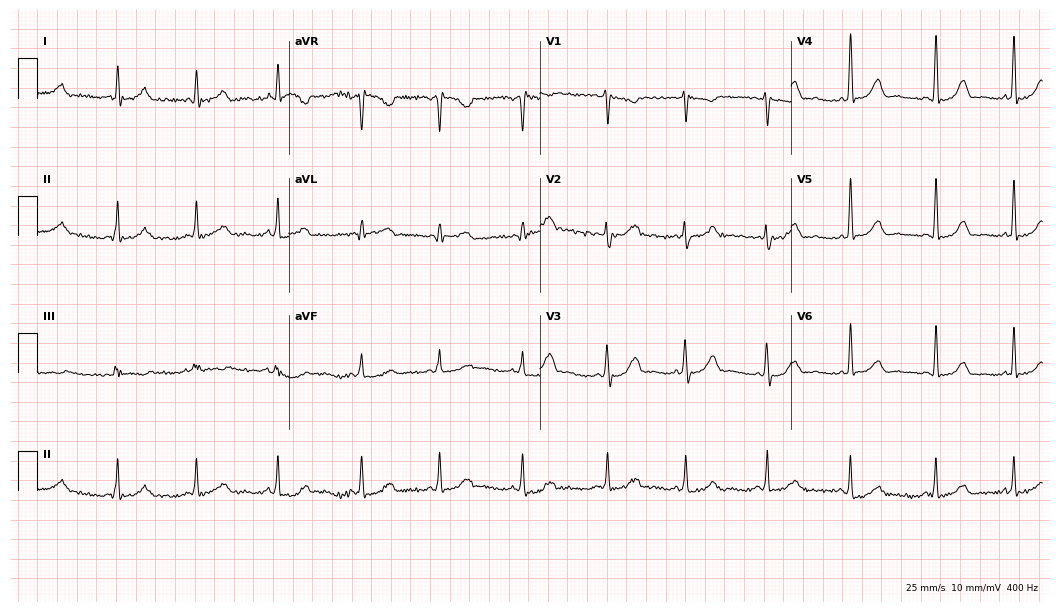
ECG — a 42-year-old woman. Labelled as a normal ECG.